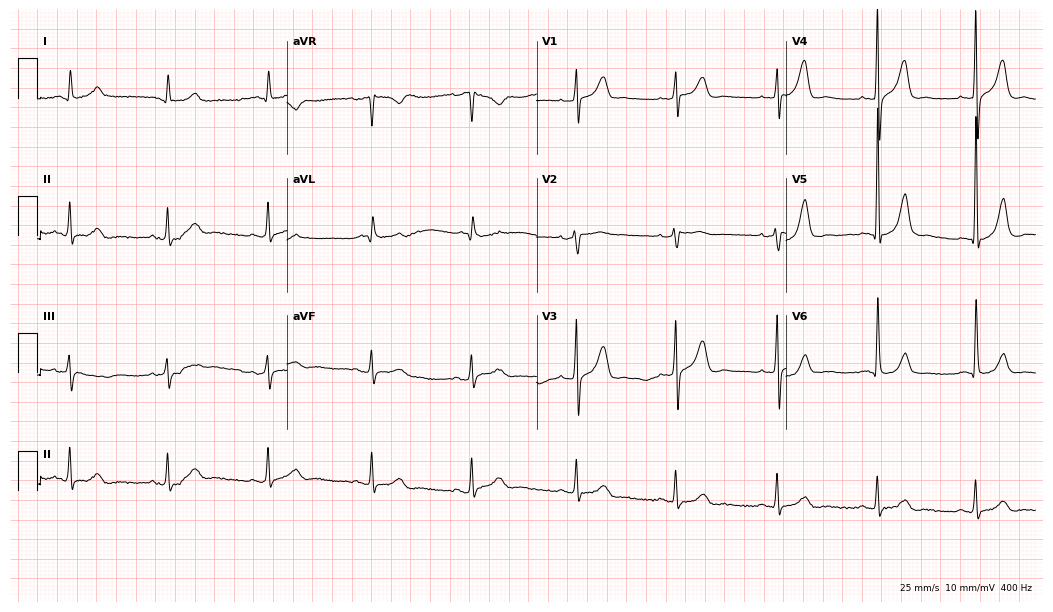
12-lead ECG from a man, 72 years old (10.2-second recording at 400 Hz). Recorded interpretation: within normal limits.